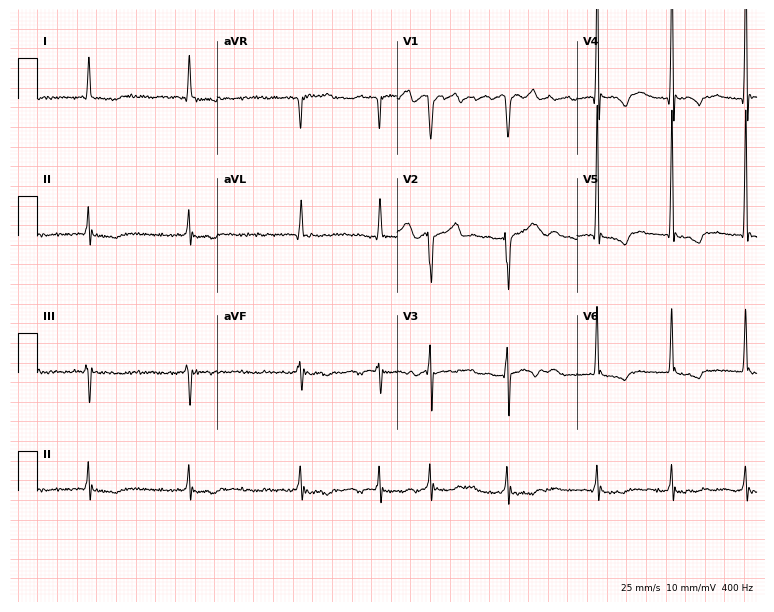
Electrocardiogram, a 74-year-old man. Interpretation includes atrial fibrillation (AF).